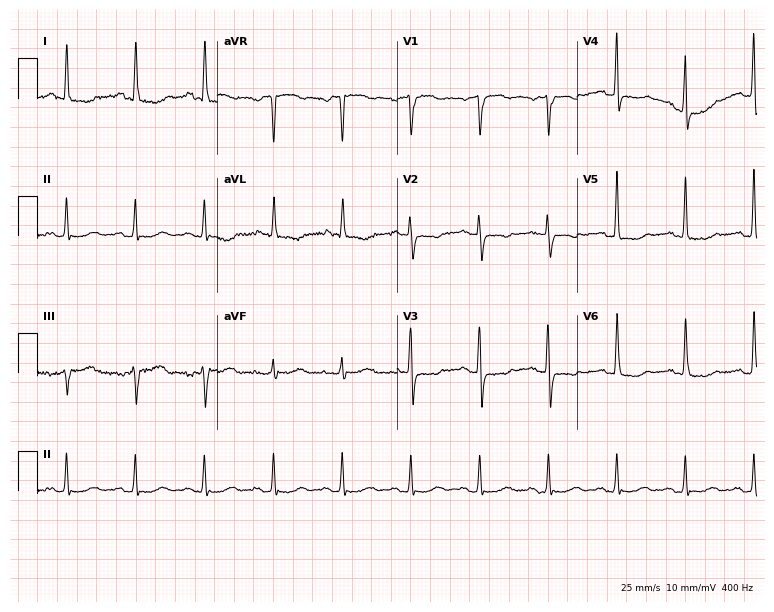
ECG (7.3-second recording at 400 Hz) — a 54-year-old woman. Labelled as a normal ECG.